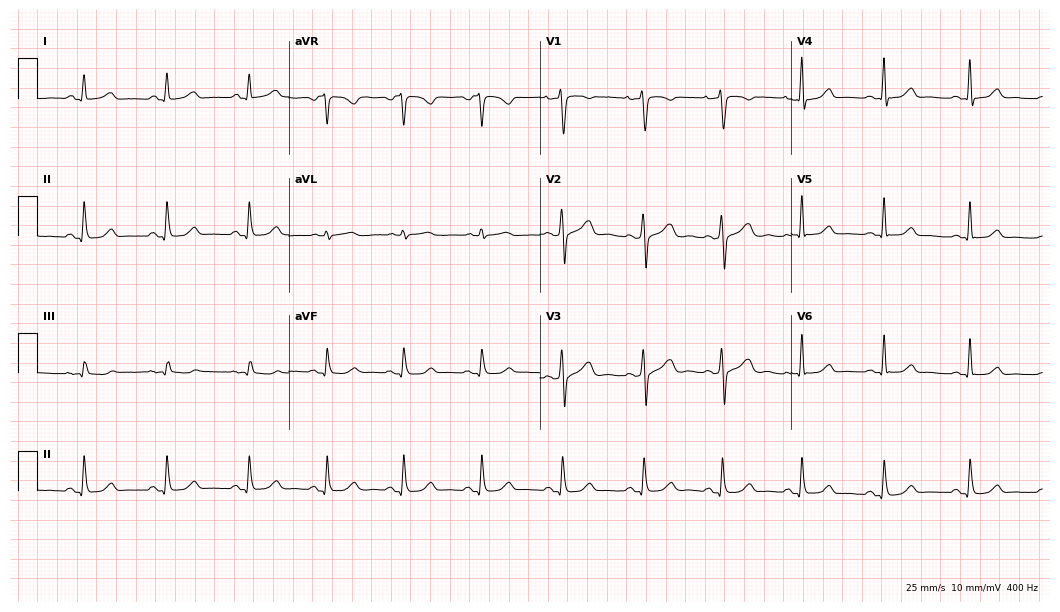
Electrocardiogram (10.2-second recording at 400 Hz), a female patient, 32 years old. Of the six screened findings (first-degree AV block, right bundle branch block (RBBB), left bundle branch block (LBBB), sinus bradycardia, atrial fibrillation (AF), sinus tachycardia), none is recorded.